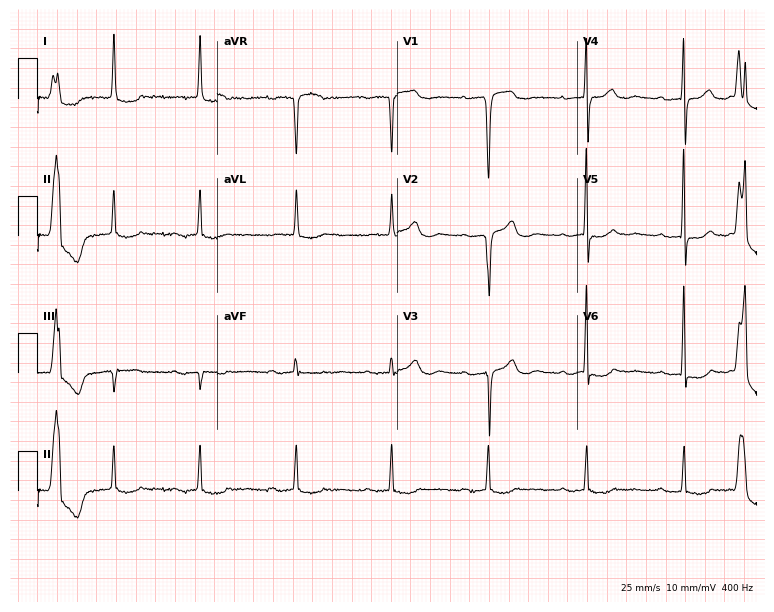
ECG — a woman, 72 years old. Screened for six findings — first-degree AV block, right bundle branch block, left bundle branch block, sinus bradycardia, atrial fibrillation, sinus tachycardia — none is recorded. Findings outside these six are not listed.